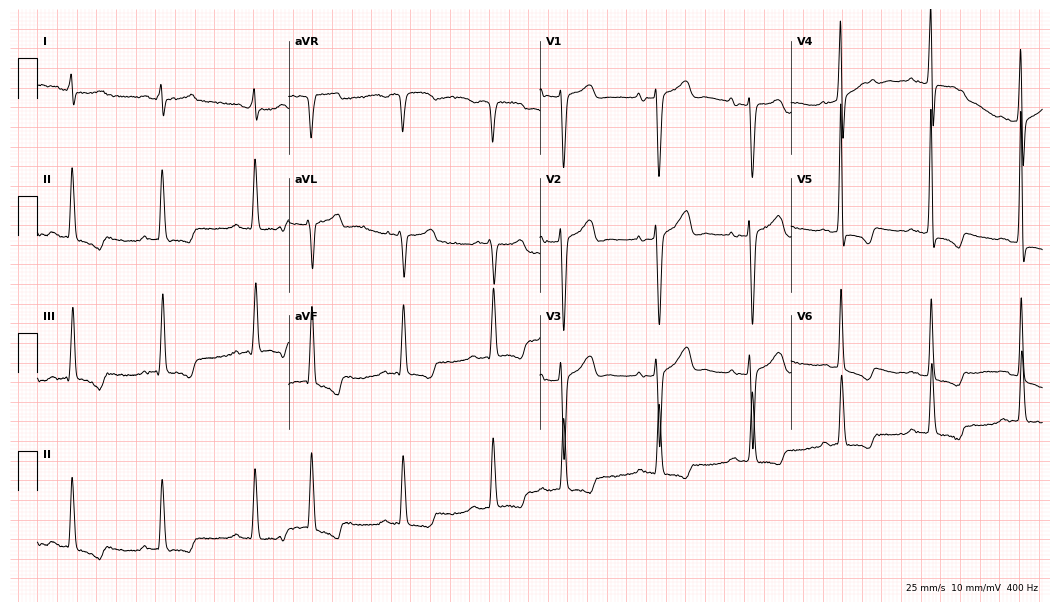
12-lead ECG (10.2-second recording at 400 Hz) from a female, 83 years old. Screened for six findings — first-degree AV block, right bundle branch block, left bundle branch block, sinus bradycardia, atrial fibrillation, sinus tachycardia — none is recorded.